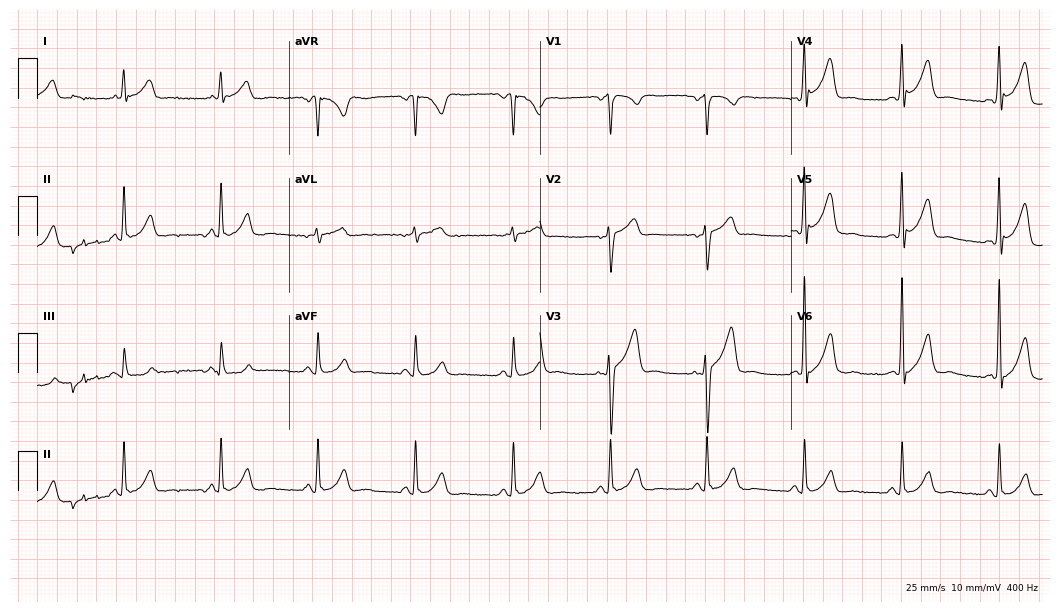
Resting 12-lead electrocardiogram. Patient: a man, 53 years old. Read as a normal ECG.